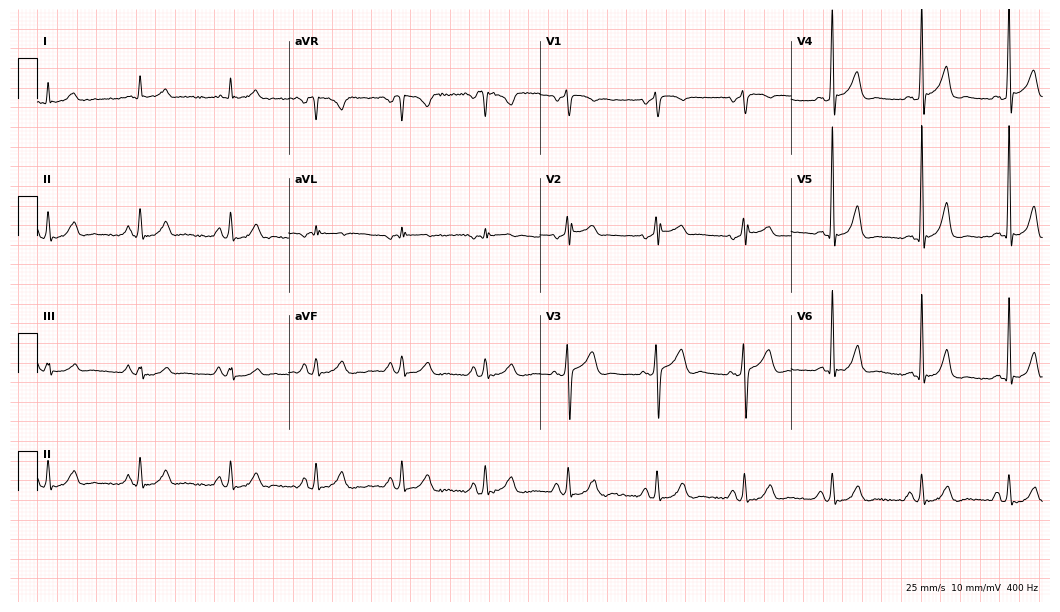
12-lead ECG from a 53-year-old male. Screened for six findings — first-degree AV block, right bundle branch block, left bundle branch block, sinus bradycardia, atrial fibrillation, sinus tachycardia — none is recorded.